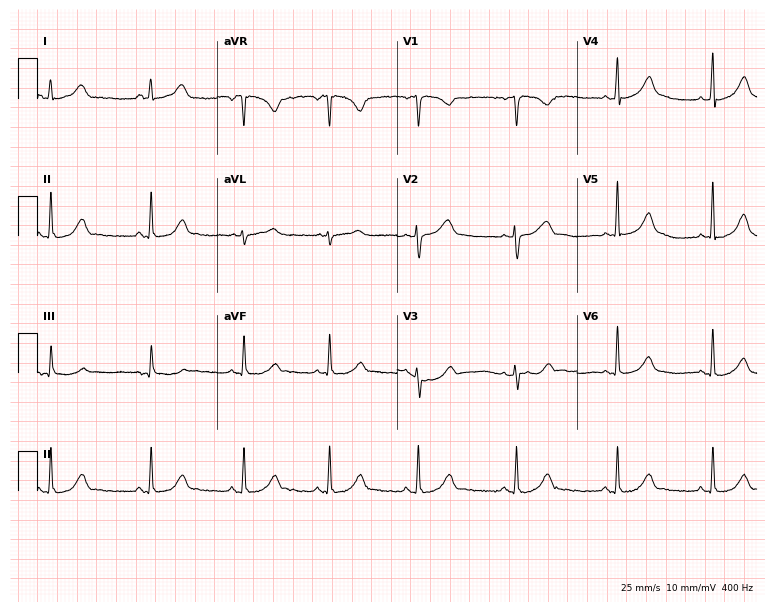
12-lead ECG from a female, 27 years old (7.3-second recording at 400 Hz). Recorded interpretation: within normal limits.